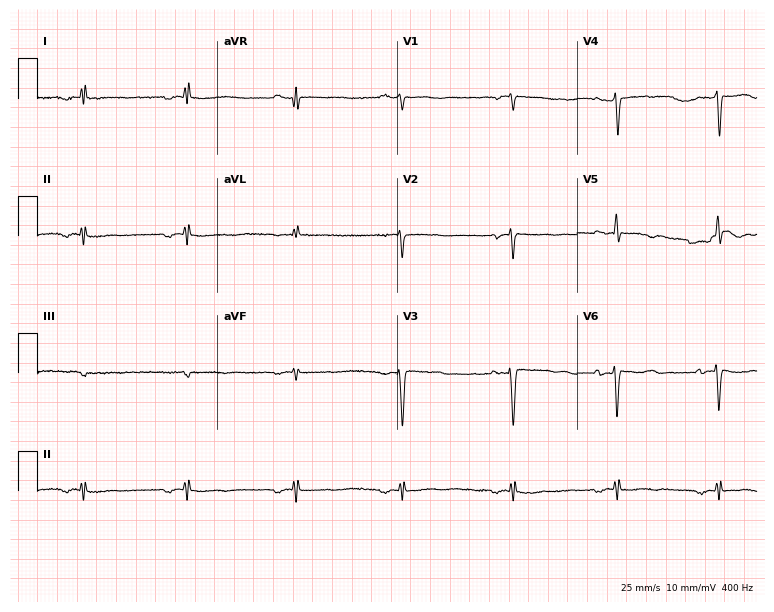
Electrocardiogram, an 85-year-old female. Of the six screened findings (first-degree AV block, right bundle branch block, left bundle branch block, sinus bradycardia, atrial fibrillation, sinus tachycardia), none is recorded.